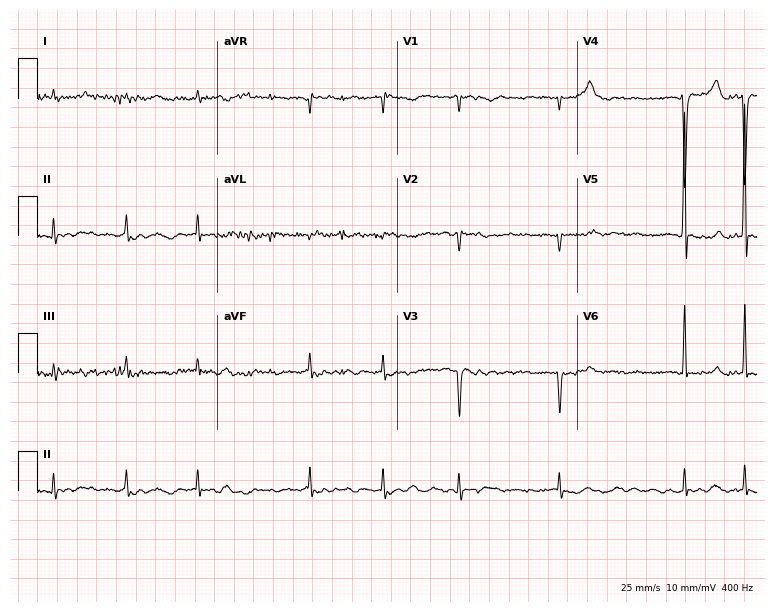
Standard 12-lead ECG recorded from a woman, 82 years old (7.3-second recording at 400 Hz). None of these six findings is recorded: first-degree AV block, right bundle branch block, left bundle branch block, sinus bradycardia, atrial fibrillation, sinus tachycardia. Other findings, if any, are not listed.